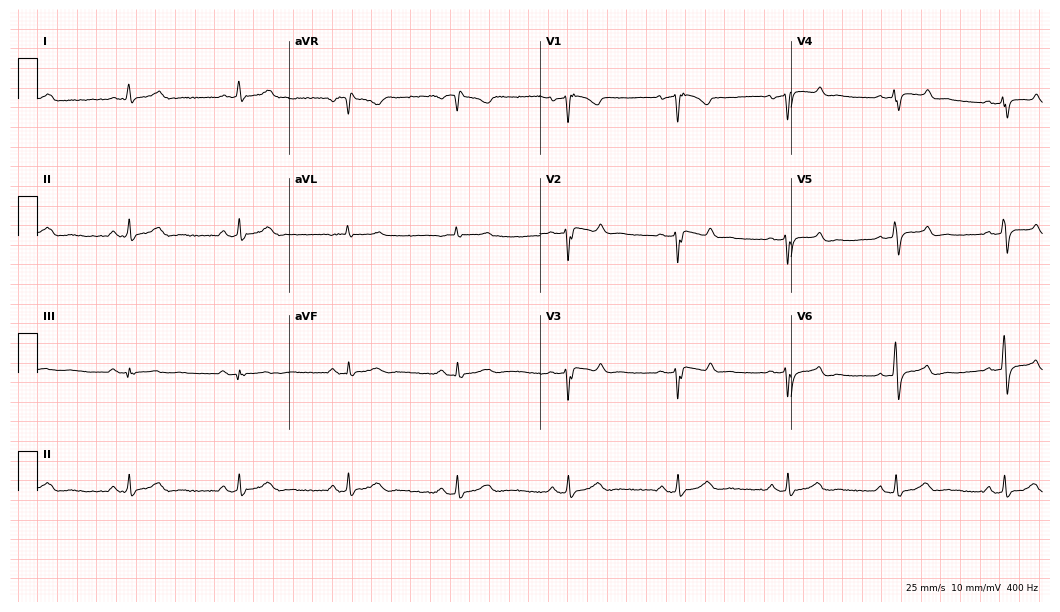
Resting 12-lead electrocardiogram. Patient: a 57-year-old male. None of these six findings is recorded: first-degree AV block, right bundle branch block, left bundle branch block, sinus bradycardia, atrial fibrillation, sinus tachycardia. Other findings, if any, are not listed.